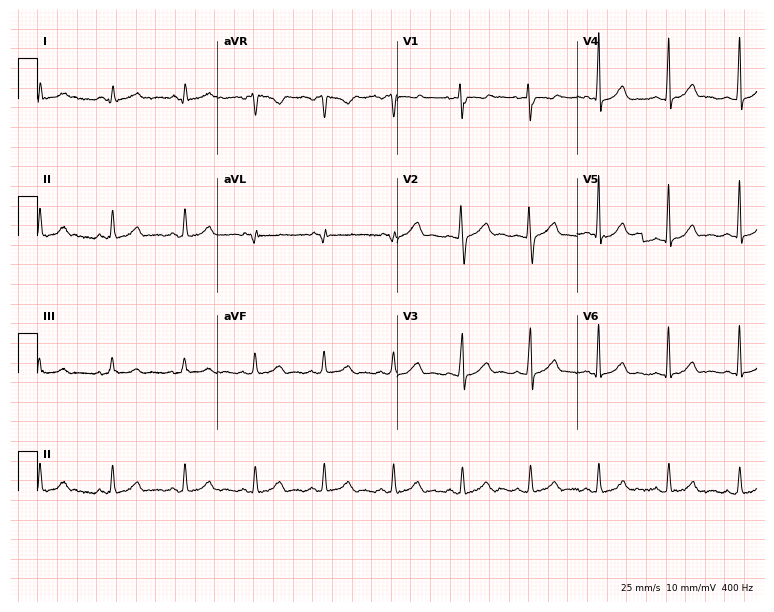
12-lead ECG from a female, 34 years old. Labelled as a normal ECG.